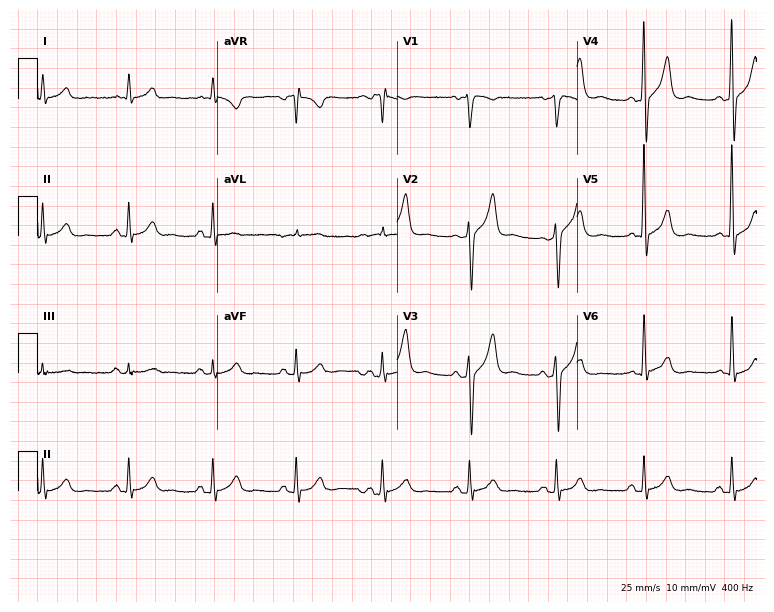
12-lead ECG from a 68-year-old man. Recorded interpretation: within normal limits.